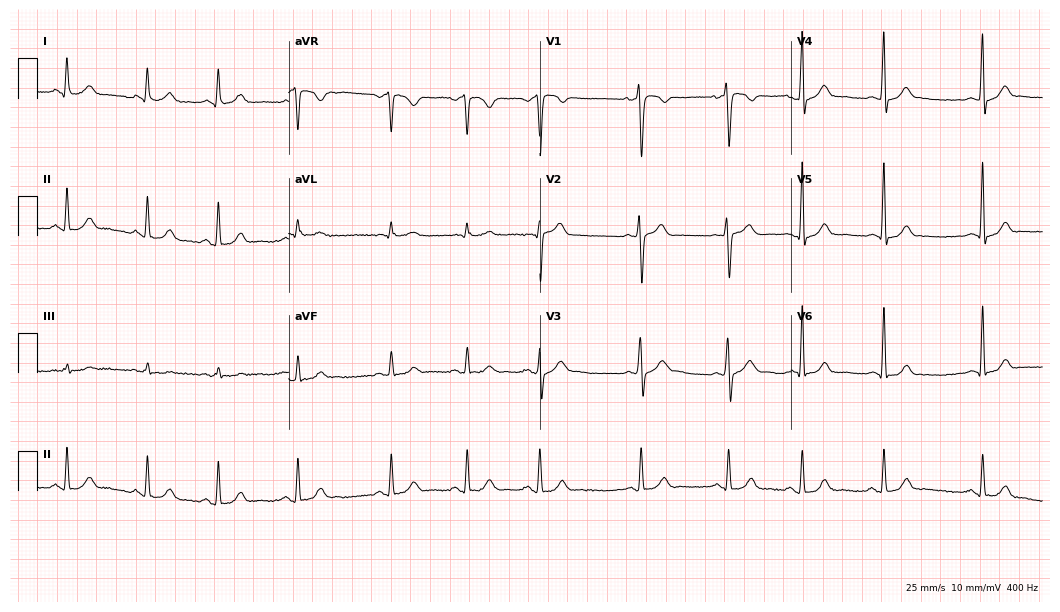
Electrocardiogram, a 28-year-old male patient. Overall reading on record: normal ECG.